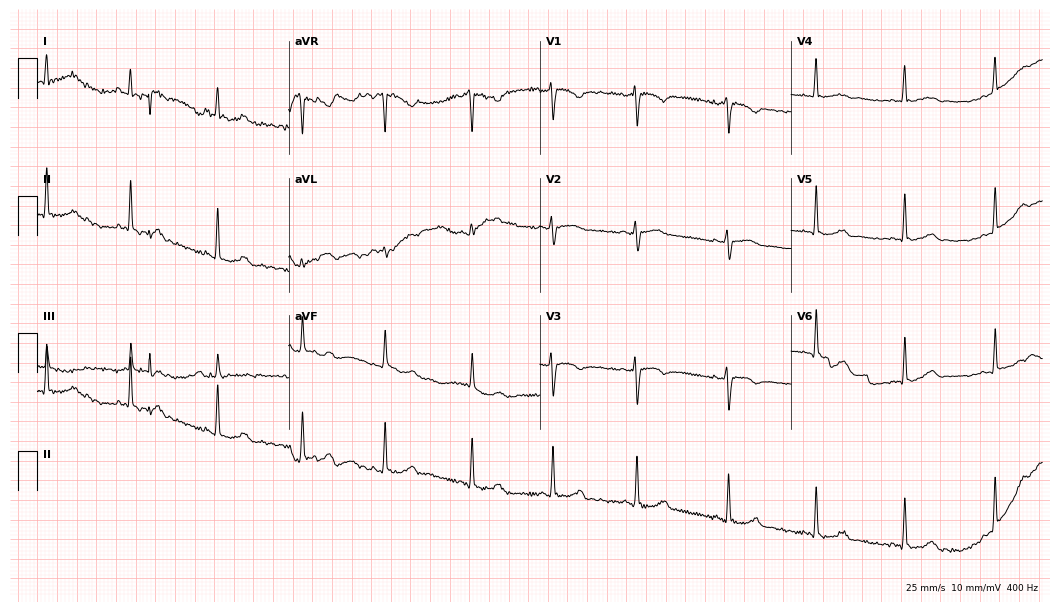
Electrocardiogram (10.2-second recording at 400 Hz), a woman, 20 years old. Overall reading on record: normal ECG.